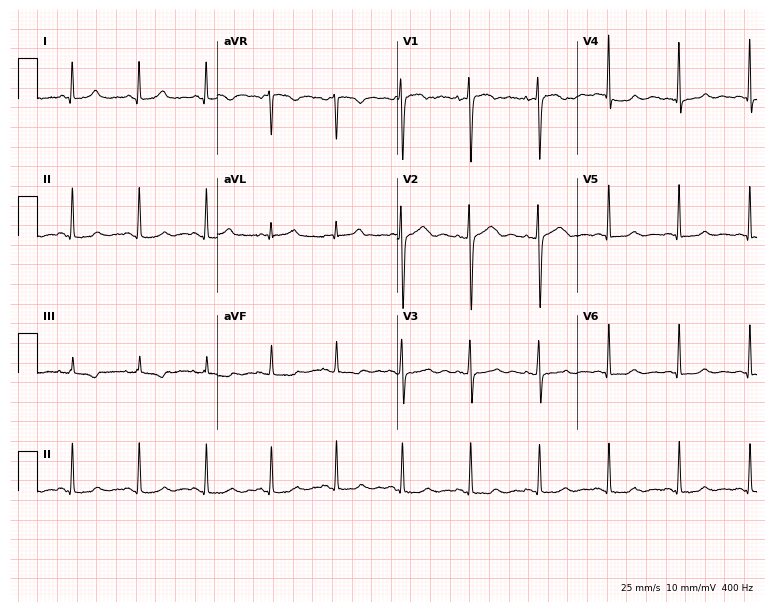
ECG — a female, 43 years old. Labelled as a normal ECG.